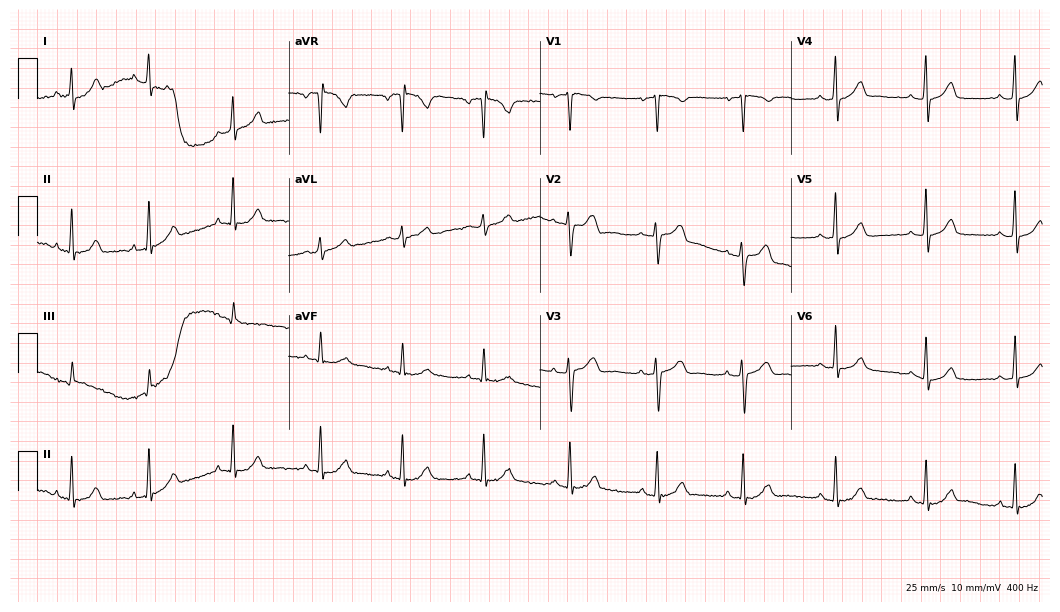
Electrocardiogram (10.2-second recording at 400 Hz), a female, 45 years old. Overall reading on record: normal ECG.